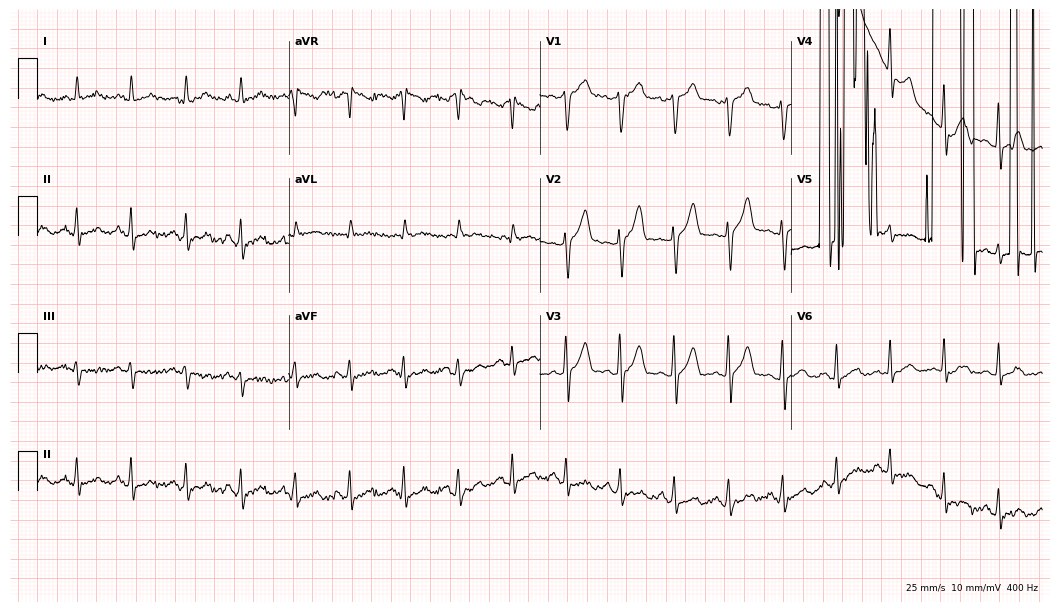
12-lead ECG from a male patient, 27 years old. Screened for six findings — first-degree AV block, right bundle branch block, left bundle branch block, sinus bradycardia, atrial fibrillation, sinus tachycardia — none is recorded.